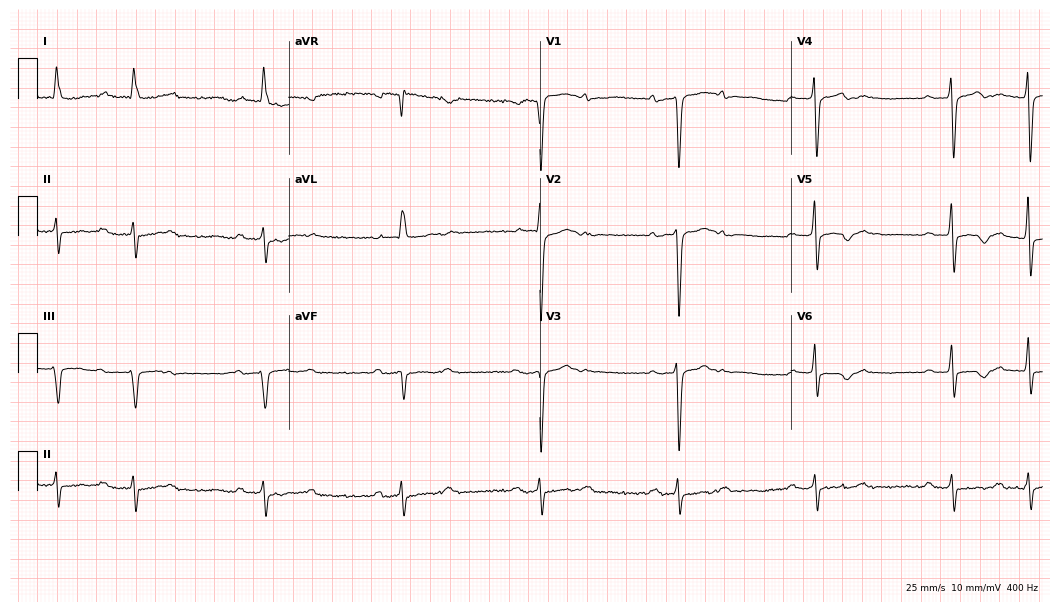
Resting 12-lead electrocardiogram. Patient: an 82-year-old woman. None of these six findings is recorded: first-degree AV block, right bundle branch block, left bundle branch block, sinus bradycardia, atrial fibrillation, sinus tachycardia.